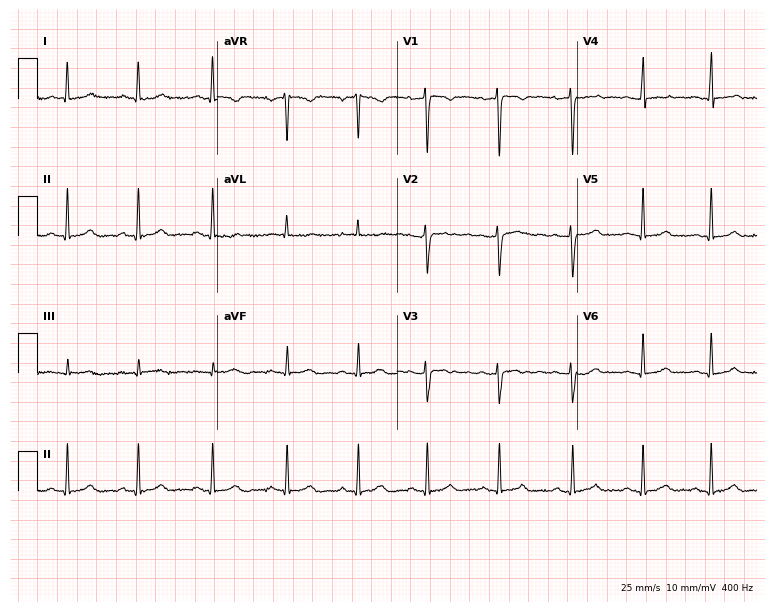
Electrocardiogram (7.3-second recording at 400 Hz), a female patient, 23 years old. Of the six screened findings (first-degree AV block, right bundle branch block, left bundle branch block, sinus bradycardia, atrial fibrillation, sinus tachycardia), none is recorded.